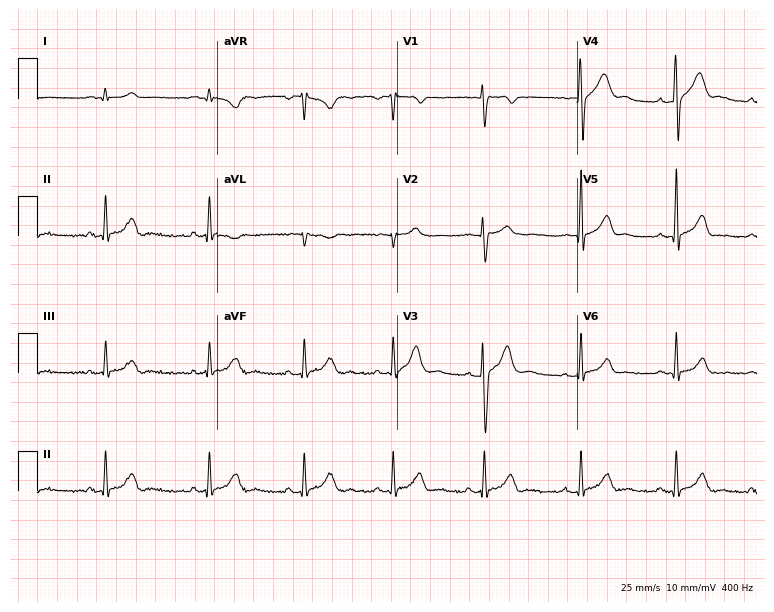
Standard 12-lead ECG recorded from a 22-year-old man. Read as a normal ECG.